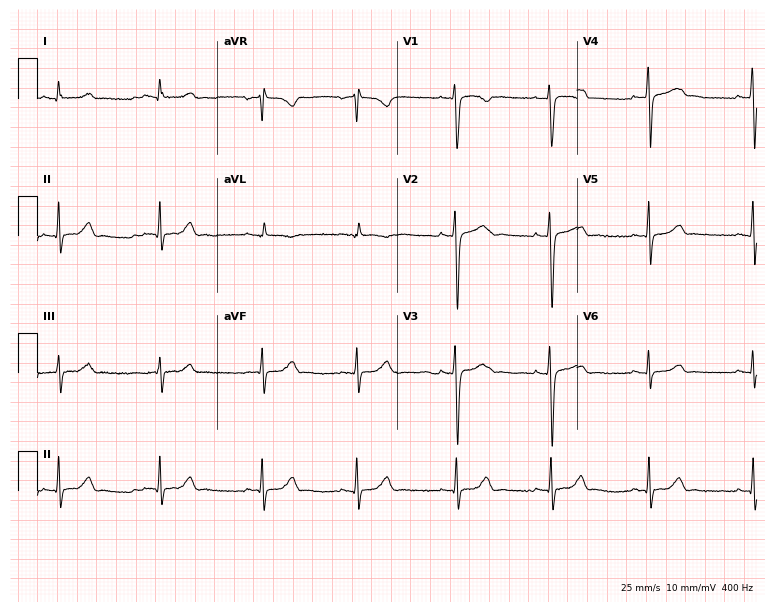
ECG — a 28-year-old female. Labelled as a normal ECG.